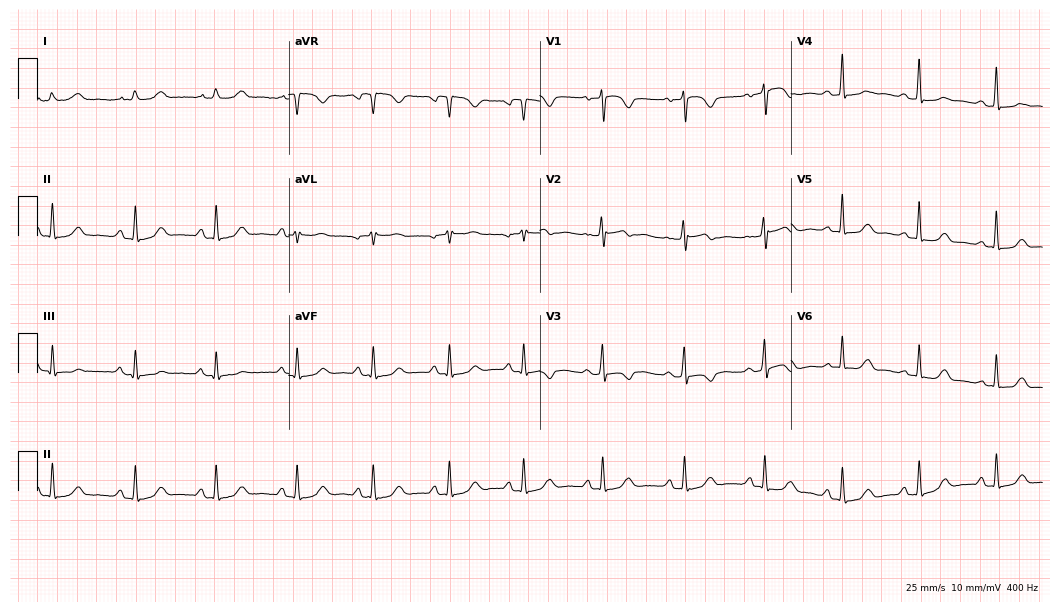
12-lead ECG from a 48-year-old female patient. Screened for six findings — first-degree AV block, right bundle branch block, left bundle branch block, sinus bradycardia, atrial fibrillation, sinus tachycardia — none is recorded. Other findings, if any, are not listed.